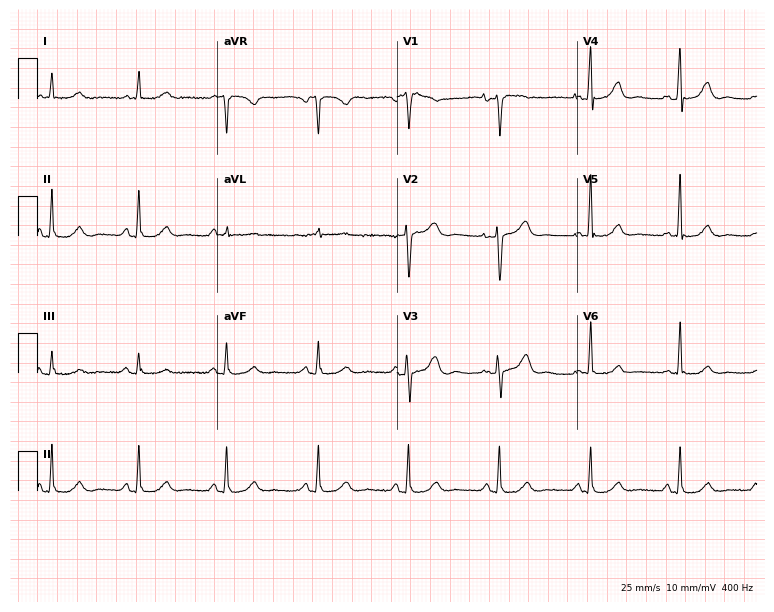
12-lead ECG from a 66-year-old female patient. Labelled as a normal ECG.